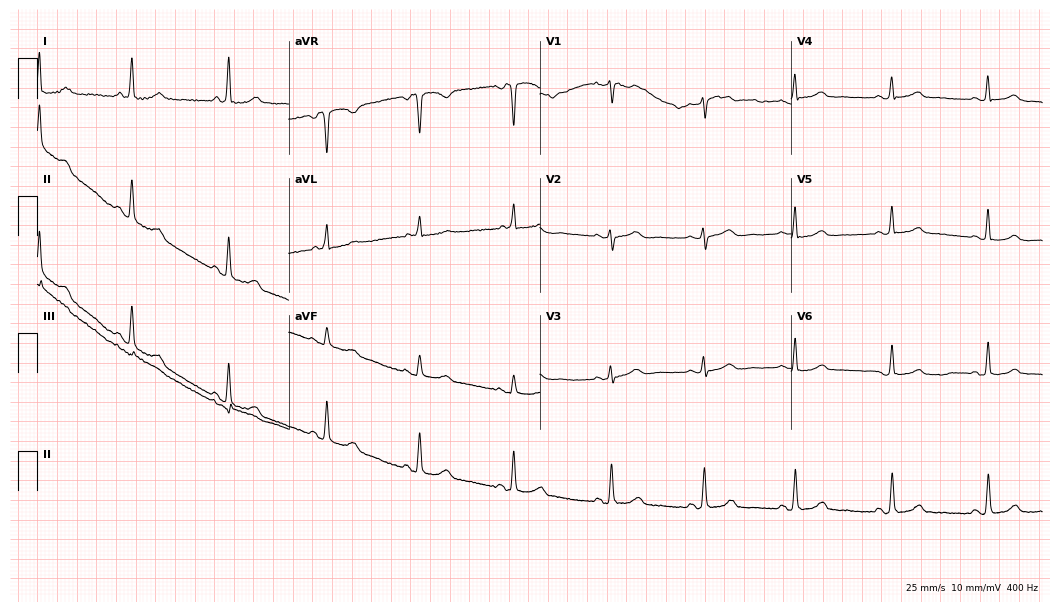
Standard 12-lead ECG recorded from a 43-year-old female (10.2-second recording at 400 Hz). Read as a normal ECG.